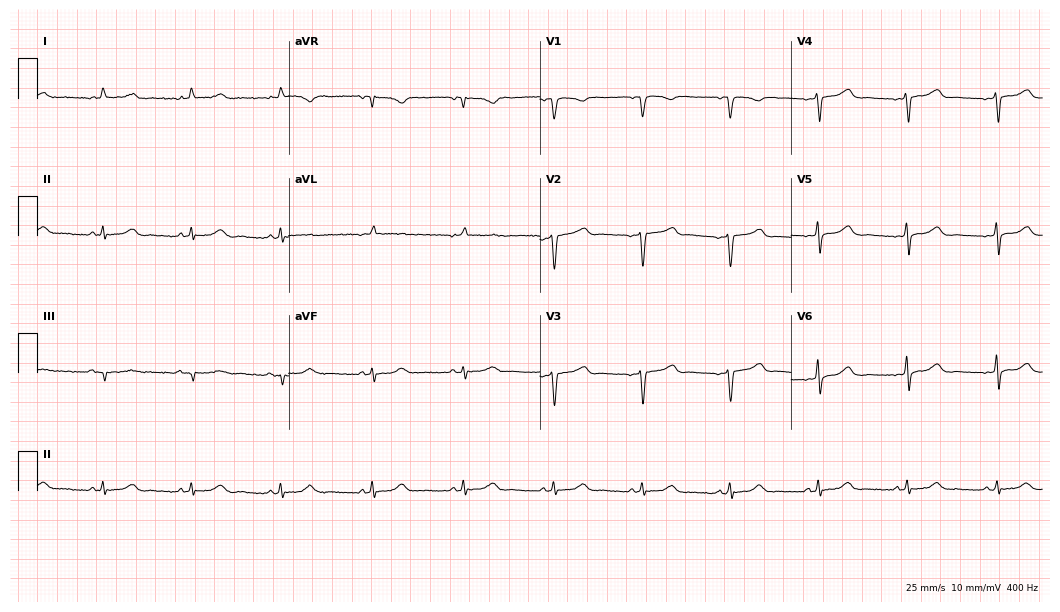
Electrocardiogram, a 35-year-old female. Of the six screened findings (first-degree AV block, right bundle branch block, left bundle branch block, sinus bradycardia, atrial fibrillation, sinus tachycardia), none is recorded. Findings outside these six are not listed.